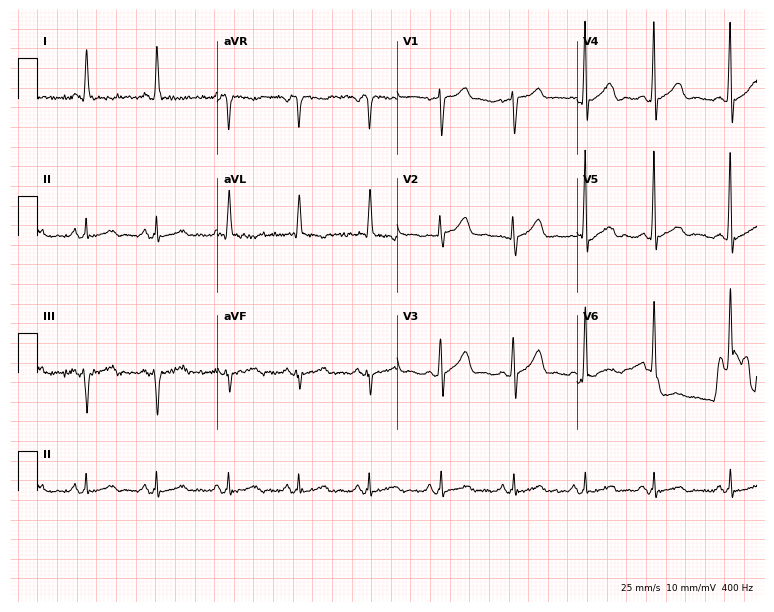
Resting 12-lead electrocardiogram. Patient: a 71-year-old female. None of these six findings is recorded: first-degree AV block, right bundle branch block (RBBB), left bundle branch block (LBBB), sinus bradycardia, atrial fibrillation (AF), sinus tachycardia. Only these six findings were labelled.